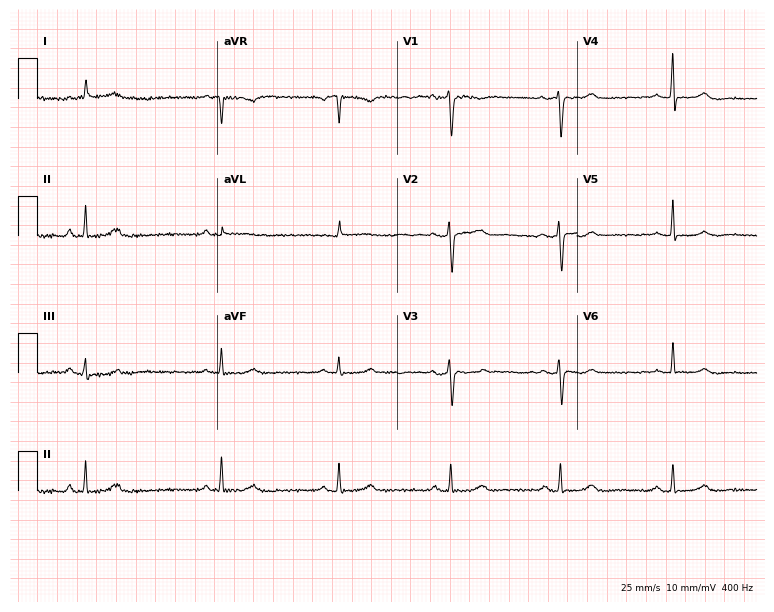
Electrocardiogram, a 53-year-old female patient. Of the six screened findings (first-degree AV block, right bundle branch block, left bundle branch block, sinus bradycardia, atrial fibrillation, sinus tachycardia), none is recorded. Other findings, if any, are not listed.